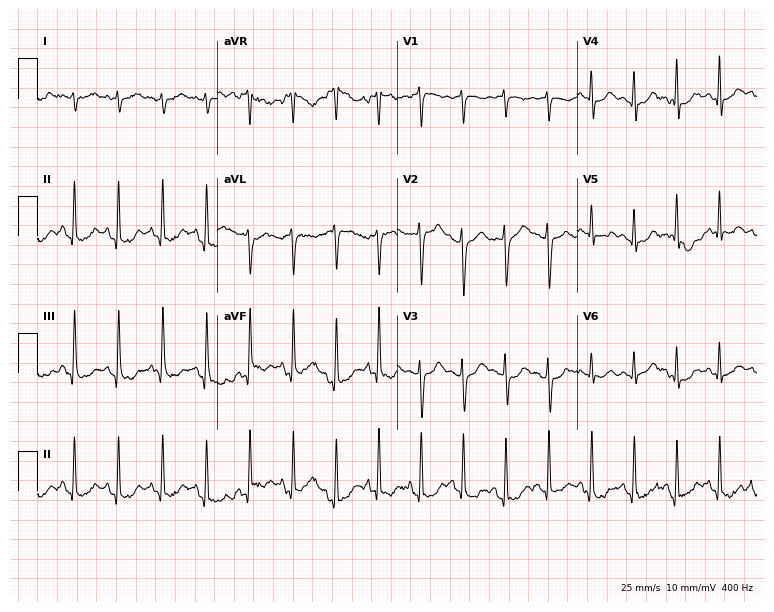
Standard 12-lead ECG recorded from a female, 27 years old. The tracing shows sinus tachycardia (a sinus rate of 100 beats per minute or more).